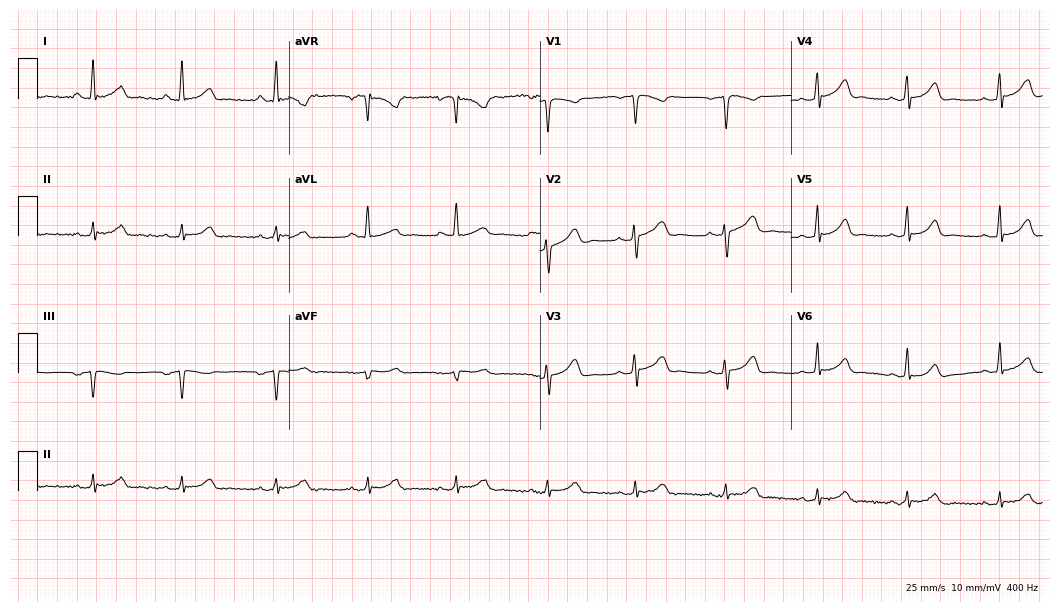
Resting 12-lead electrocardiogram (10.2-second recording at 400 Hz). Patient: a 27-year-old woman. None of these six findings is recorded: first-degree AV block, right bundle branch block, left bundle branch block, sinus bradycardia, atrial fibrillation, sinus tachycardia.